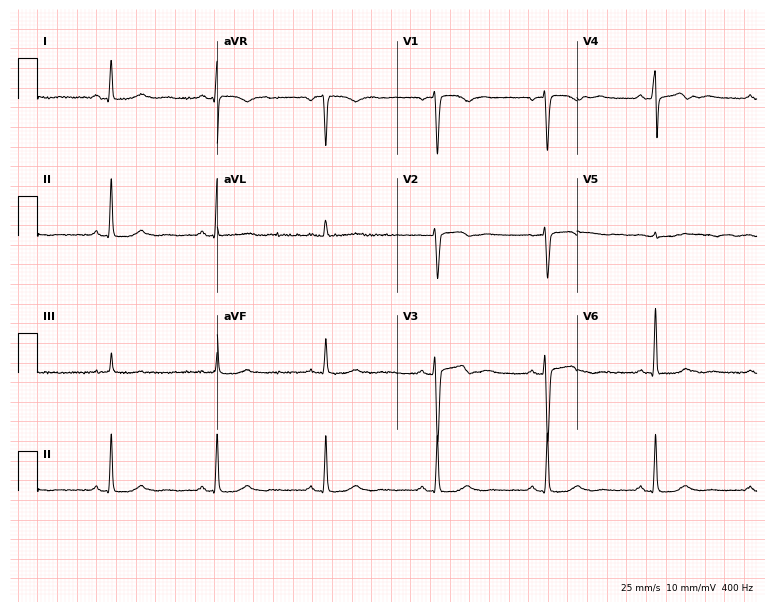
ECG — a female, 51 years old. Screened for six findings — first-degree AV block, right bundle branch block, left bundle branch block, sinus bradycardia, atrial fibrillation, sinus tachycardia — none is recorded.